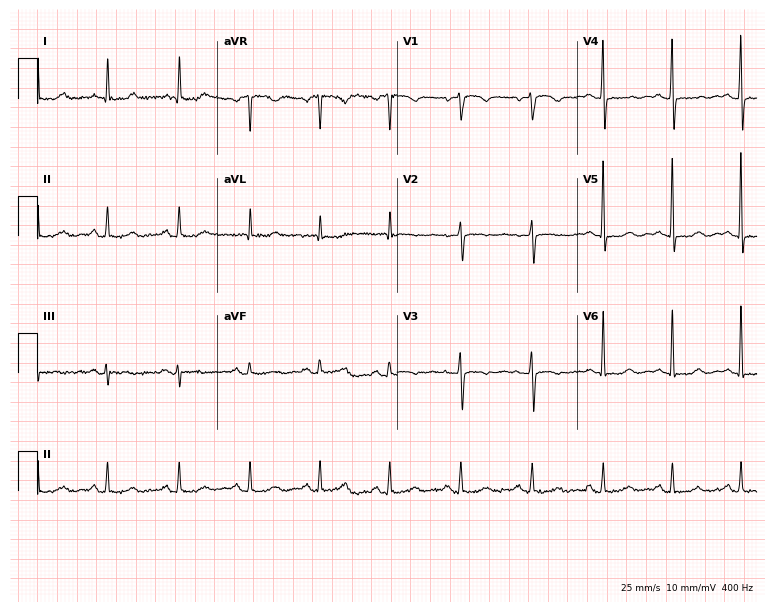
Standard 12-lead ECG recorded from a female, 58 years old (7.3-second recording at 400 Hz). None of these six findings is recorded: first-degree AV block, right bundle branch block, left bundle branch block, sinus bradycardia, atrial fibrillation, sinus tachycardia. Other findings, if any, are not listed.